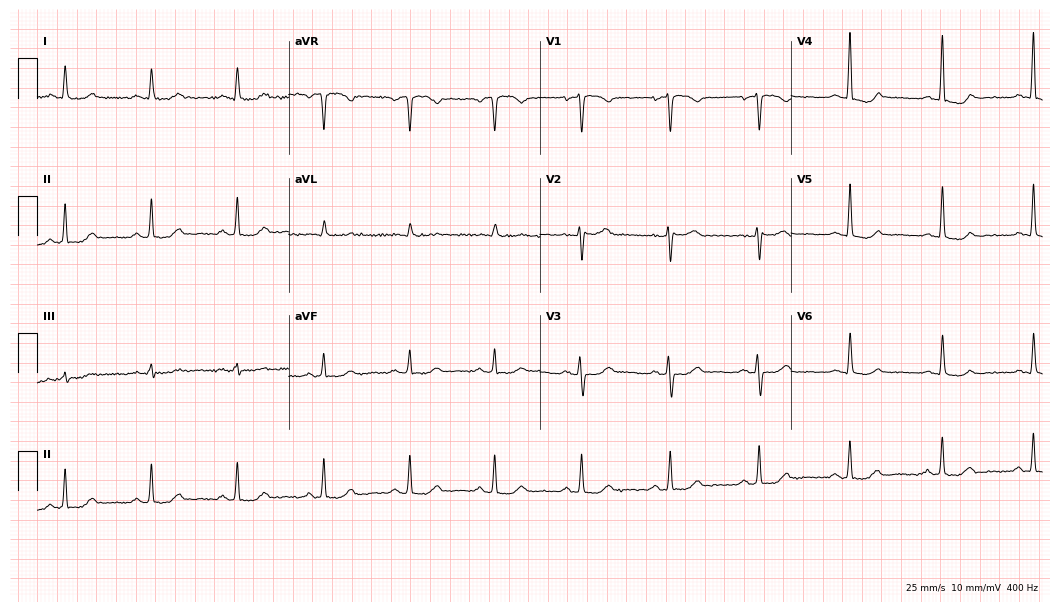
Resting 12-lead electrocardiogram (10.2-second recording at 400 Hz). Patient: a 54-year-old woman. None of these six findings is recorded: first-degree AV block, right bundle branch block, left bundle branch block, sinus bradycardia, atrial fibrillation, sinus tachycardia.